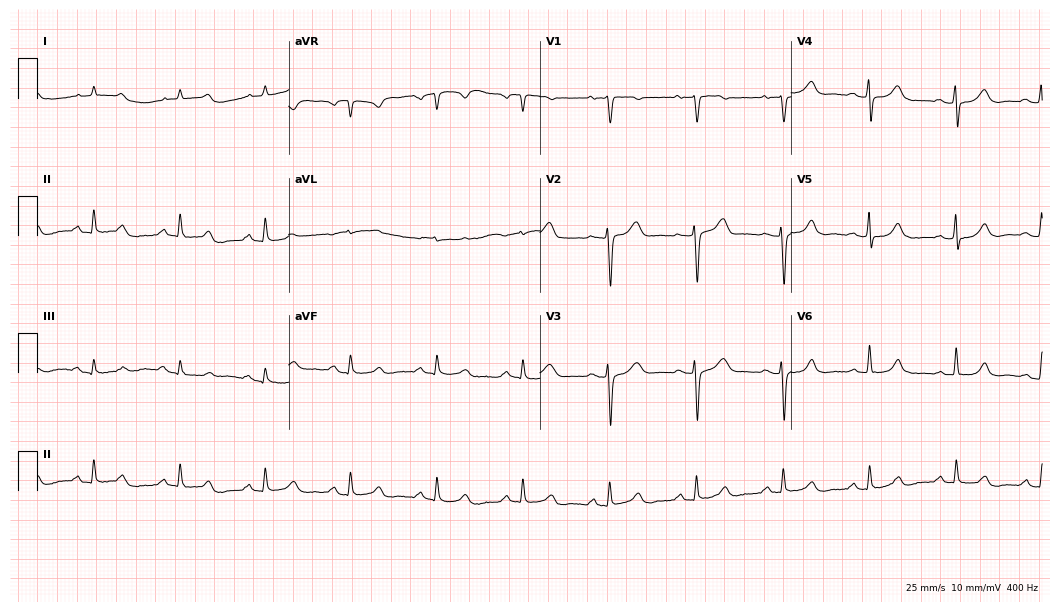
ECG — a 63-year-old female patient. Labelled as a normal ECG.